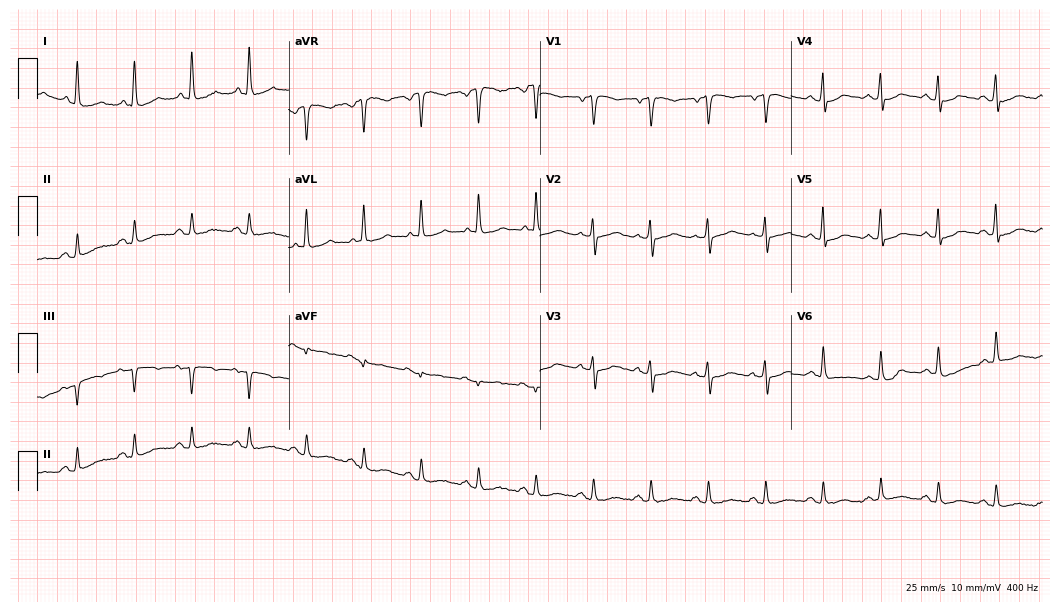
ECG (10.2-second recording at 400 Hz) — a male, 58 years old. Screened for six findings — first-degree AV block, right bundle branch block, left bundle branch block, sinus bradycardia, atrial fibrillation, sinus tachycardia — none is recorded.